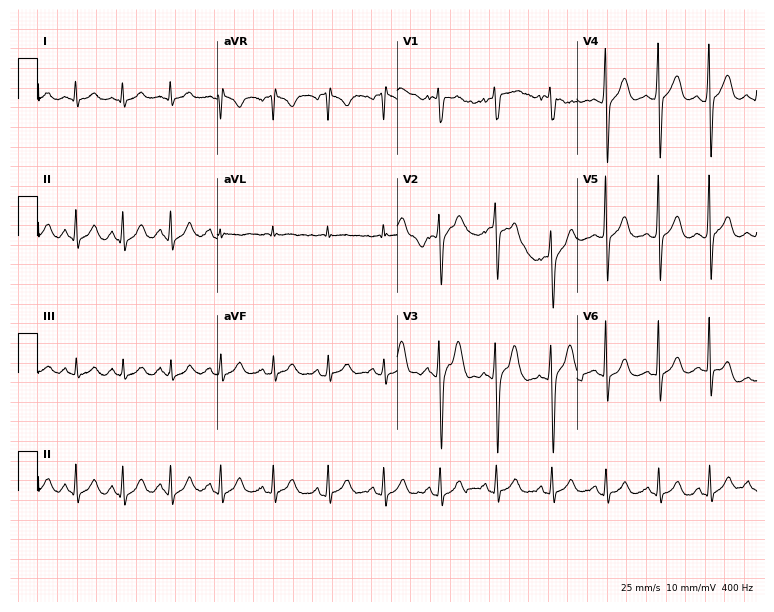
Standard 12-lead ECG recorded from a 17-year-old man. The tracing shows sinus tachycardia (a sinus rate of 100 beats per minute or more).